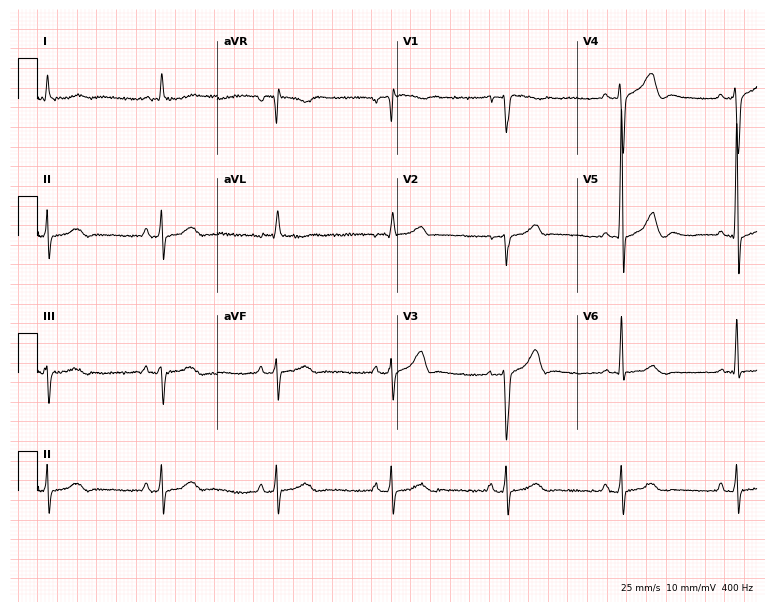
Resting 12-lead electrocardiogram. Patient: a male, 63 years old. None of these six findings is recorded: first-degree AV block, right bundle branch block, left bundle branch block, sinus bradycardia, atrial fibrillation, sinus tachycardia. Findings outside these six are not listed.